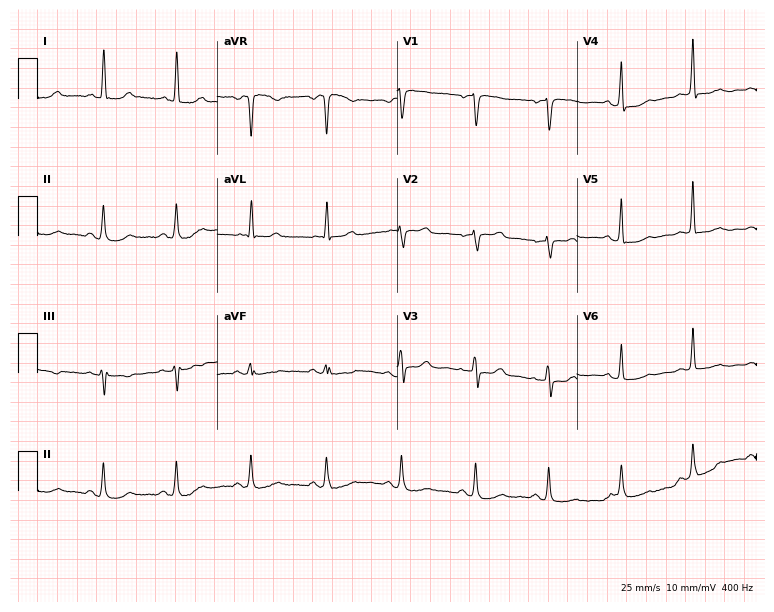
Standard 12-lead ECG recorded from a 63-year-old female patient (7.3-second recording at 400 Hz). None of these six findings is recorded: first-degree AV block, right bundle branch block, left bundle branch block, sinus bradycardia, atrial fibrillation, sinus tachycardia.